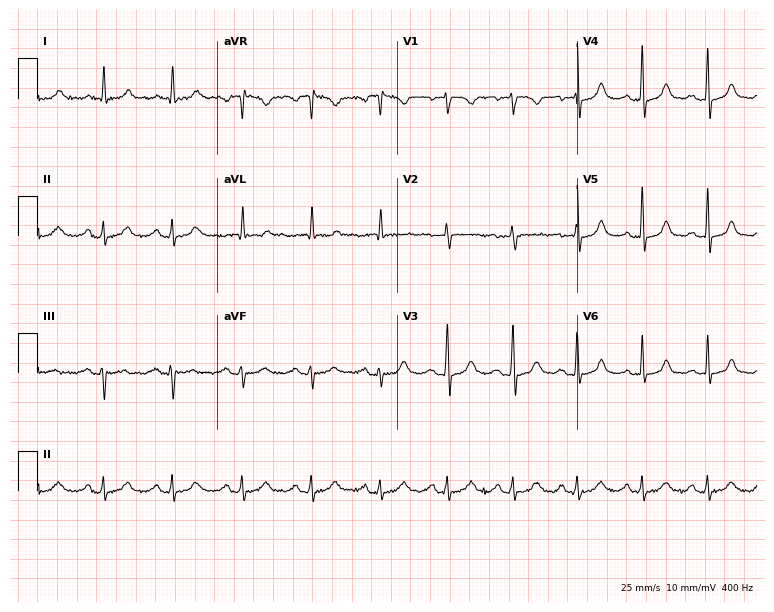
12-lead ECG from a female, 39 years old. Screened for six findings — first-degree AV block, right bundle branch block, left bundle branch block, sinus bradycardia, atrial fibrillation, sinus tachycardia — none is recorded. Only these six findings were labelled.